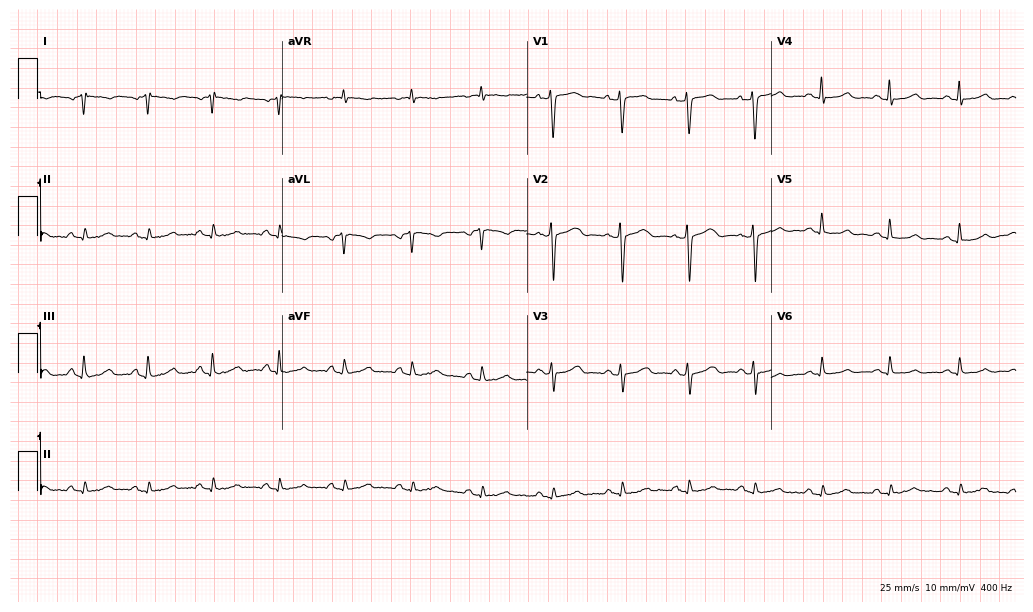
12-lead ECG (10-second recording at 400 Hz) from a female, 46 years old. Screened for six findings — first-degree AV block, right bundle branch block, left bundle branch block, sinus bradycardia, atrial fibrillation, sinus tachycardia — none is recorded.